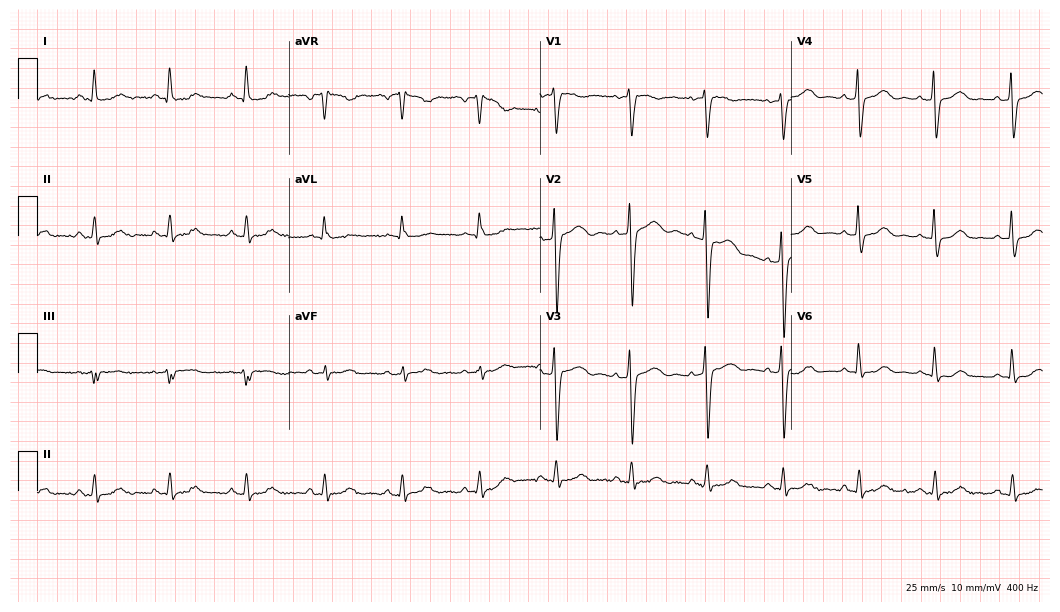
Resting 12-lead electrocardiogram (10.2-second recording at 400 Hz). Patient: a female, 43 years old. None of these six findings is recorded: first-degree AV block, right bundle branch block, left bundle branch block, sinus bradycardia, atrial fibrillation, sinus tachycardia.